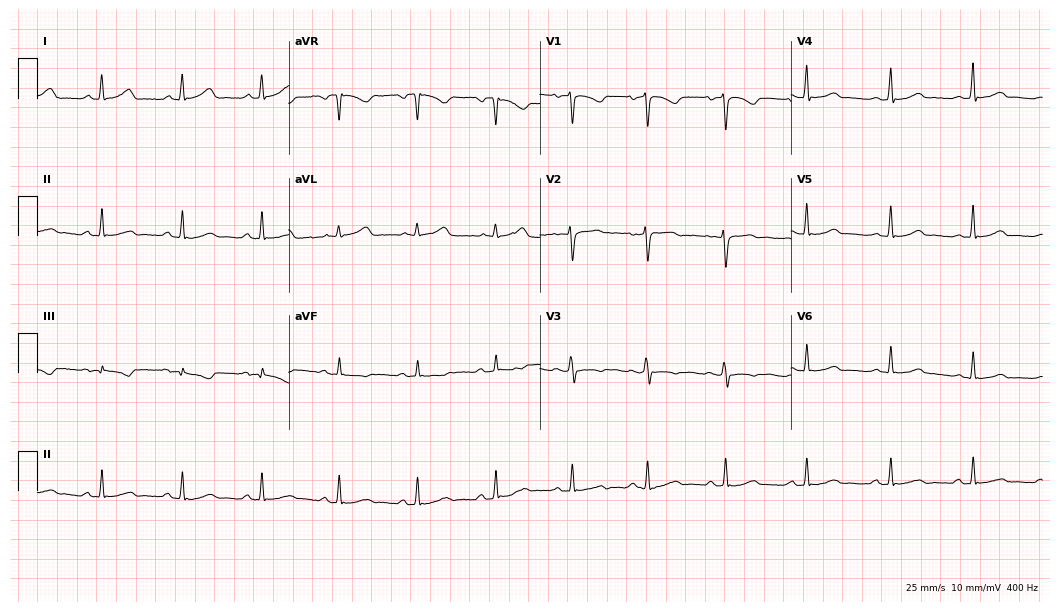
Resting 12-lead electrocardiogram (10.2-second recording at 400 Hz). Patient: a 31-year-old female. None of these six findings is recorded: first-degree AV block, right bundle branch block (RBBB), left bundle branch block (LBBB), sinus bradycardia, atrial fibrillation (AF), sinus tachycardia. Findings outside these six are not listed.